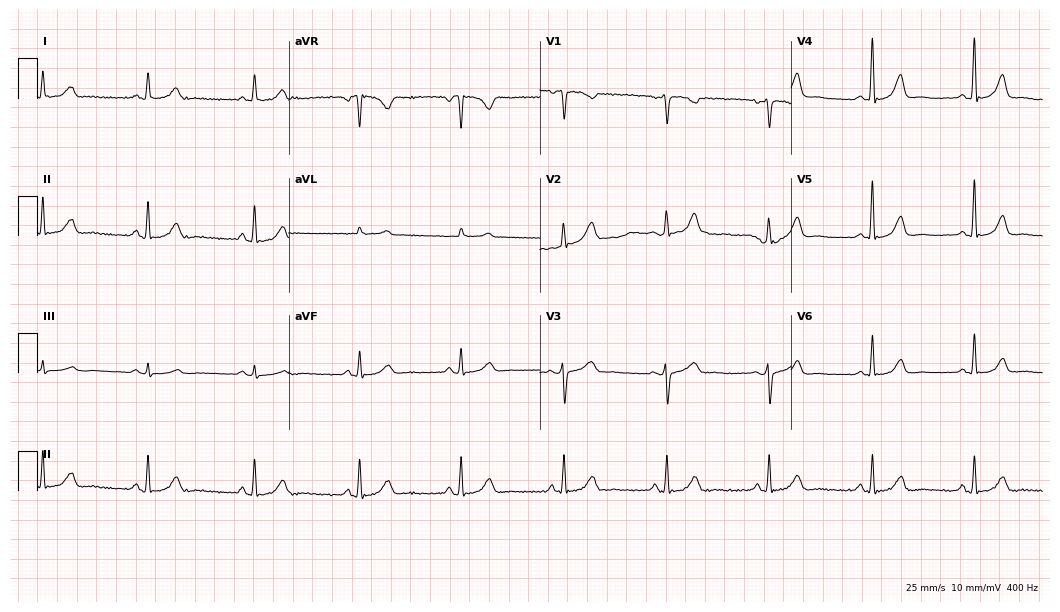
Resting 12-lead electrocardiogram. Patient: a 50-year-old female. Read as a normal ECG.